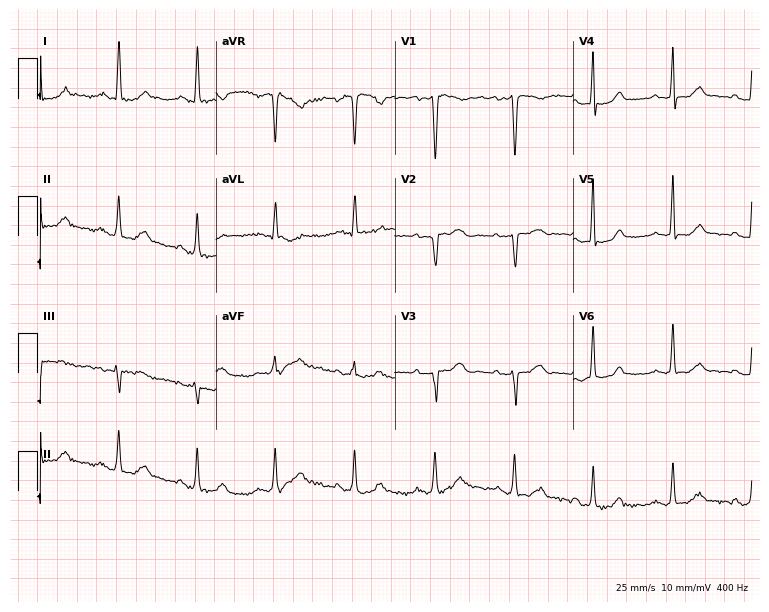
Standard 12-lead ECG recorded from a 64-year-old female. Read as a normal ECG.